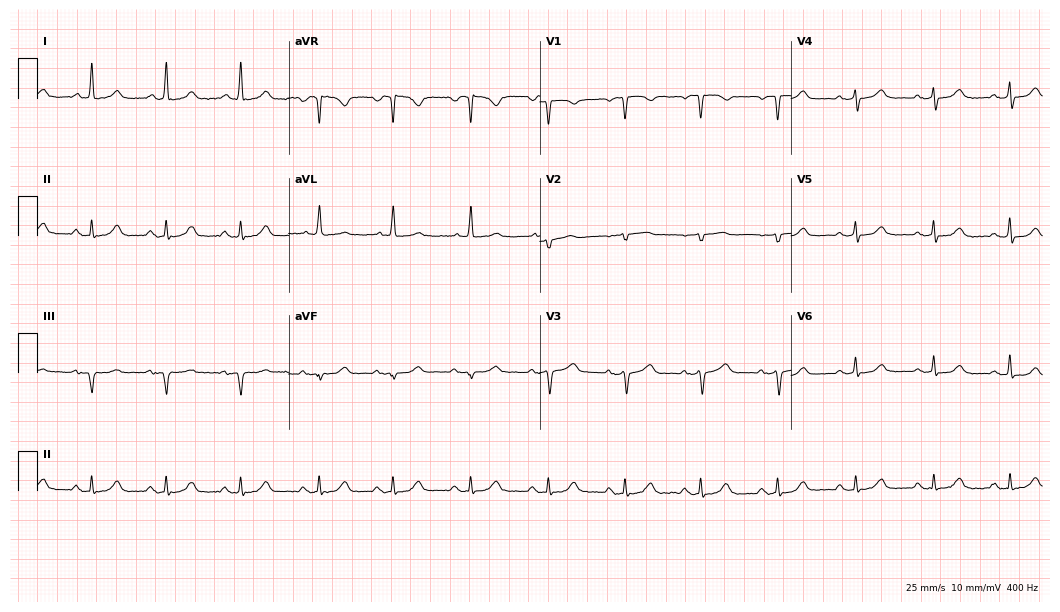
Standard 12-lead ECG recorded from a woman, 61 years old. Read as a normal ECG.